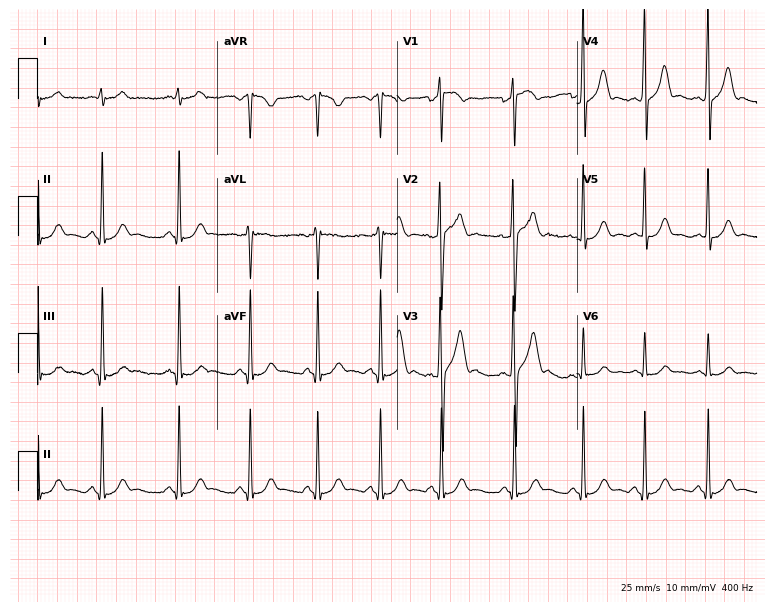
ECG (7.3-second recording at 400 Hz) — a man, 20 years old. Labelled as a normal ECG.